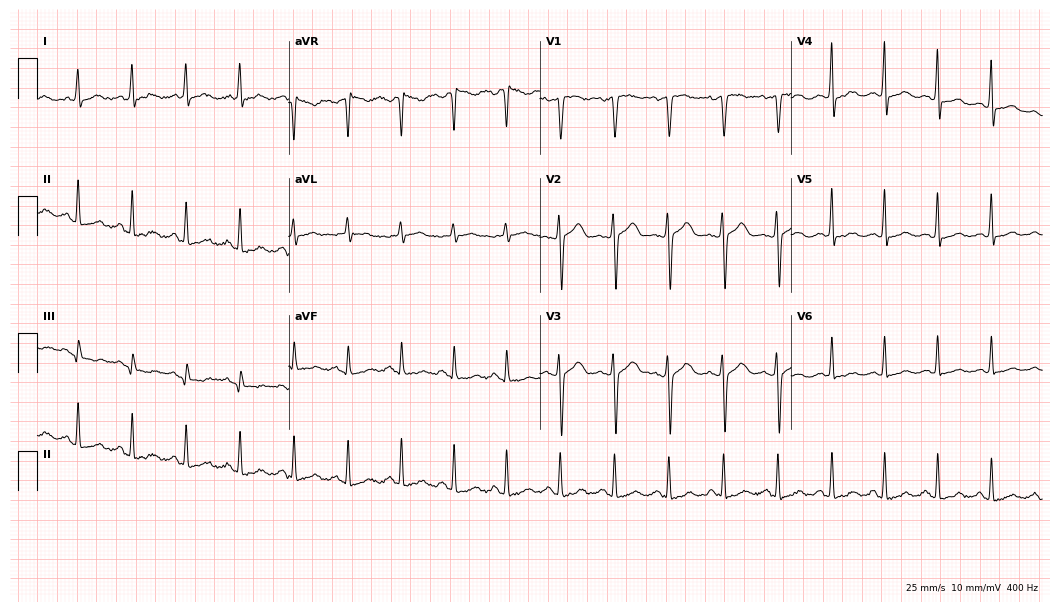
Standard 12-lead ECG recorded from a woman, 27 years old. None of these six findings is recorded: first-degree AV block, right bundle branch block (RBBB), left bundle branch block (LBBB), sinus bradycardia, atrial fibrillation (AF), sinus tachycardia.